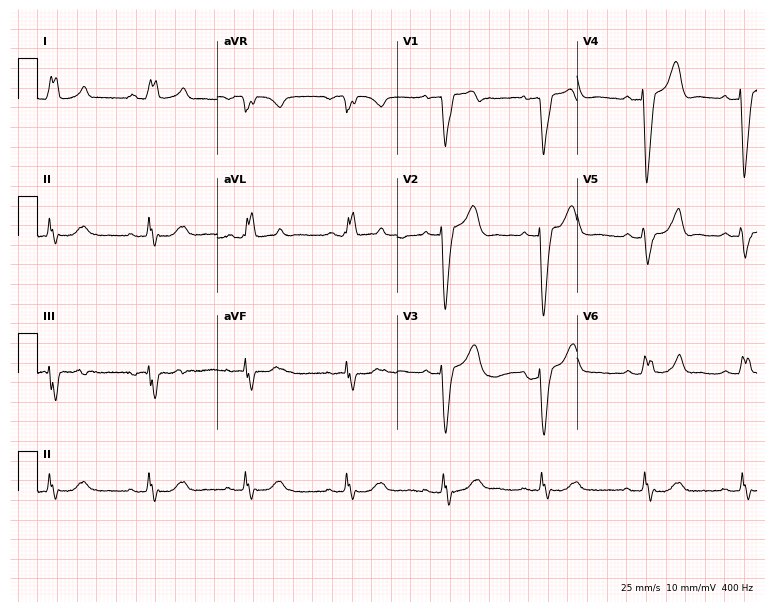
12-lead ECG (7.3-second recording at 400 Hz) from a 51-year-old female. Findings include left bundle branch block.